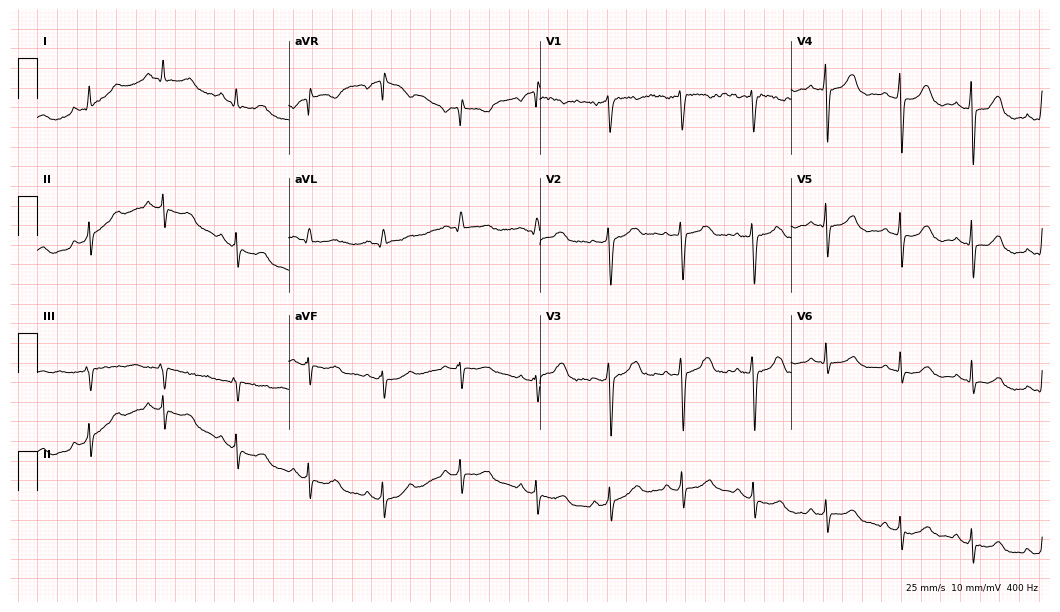
Electrocardiogram (10.2-second recording at 400 Hz), a 34-year-old female patient. Overall reading on record: normal ECG.